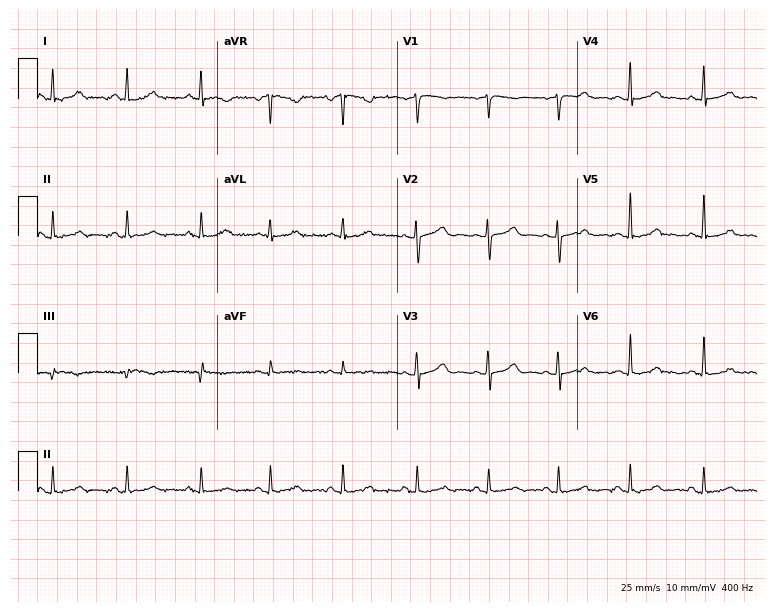
Resting 12-lead electrocardiogram. Patient: a 40-year-old woman. Read as a normal ECG.